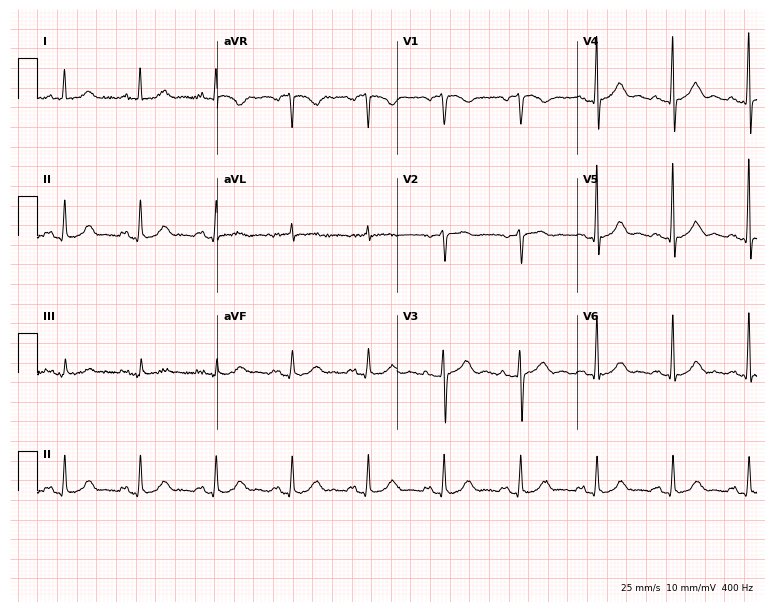
Standard 12-lead ECG recorded from a 73-year-old woman (7.3-second recording at 400 Hz). None of these six findings is recorded: first-degree AV block, right bundle branch block, left bundle branch block, sinus bradycardia, atrial fibrillation, sinus tachycardia. Findings outside these six are not listed.